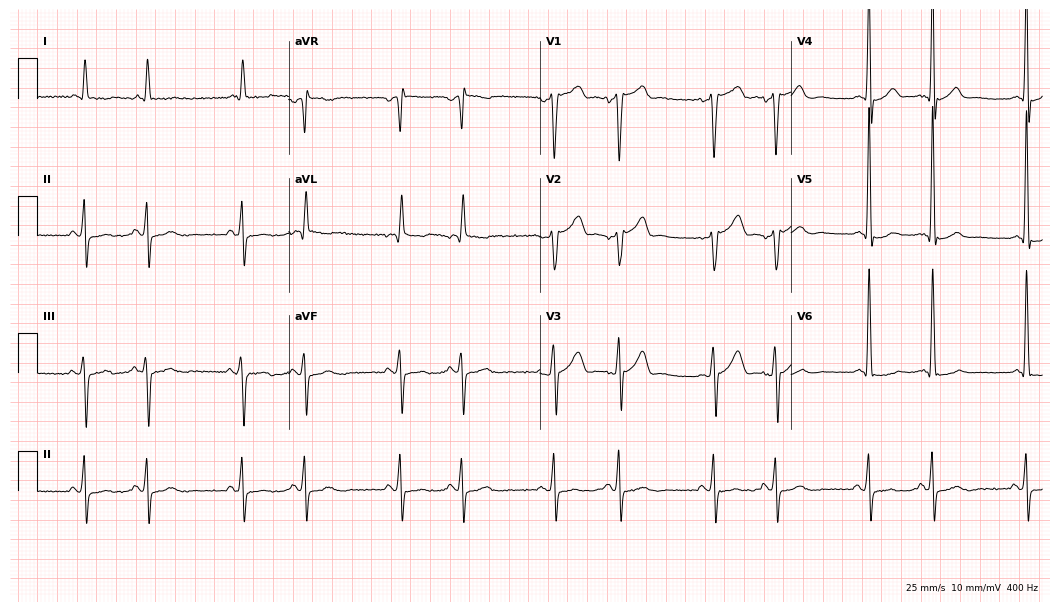
12-lead ECG (10.2-second recording at 400 Hz) from a male patient, 73 years old. Labelled as a normal ECG.